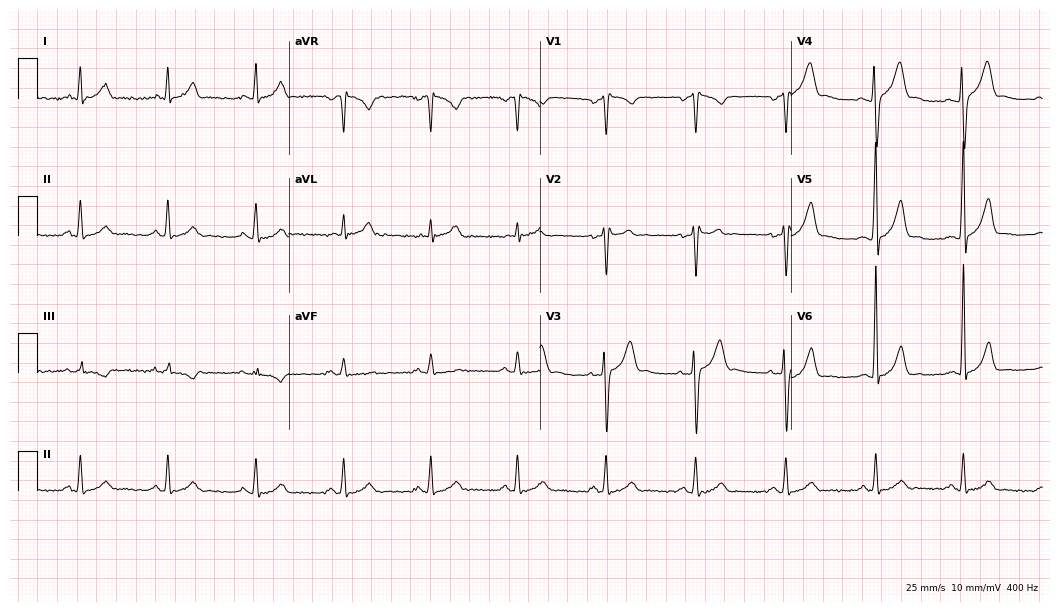
Electrocardiogram, a male, 31 years old. Of the six screened findings (first-degree AV block, right bundle branch block (RBBB), left bundle branch block (LBBB), sinus bradycardia, atrial fibrillation (AF), sinus tachycardia), none is recorded. Other findings, if any, are not listed.